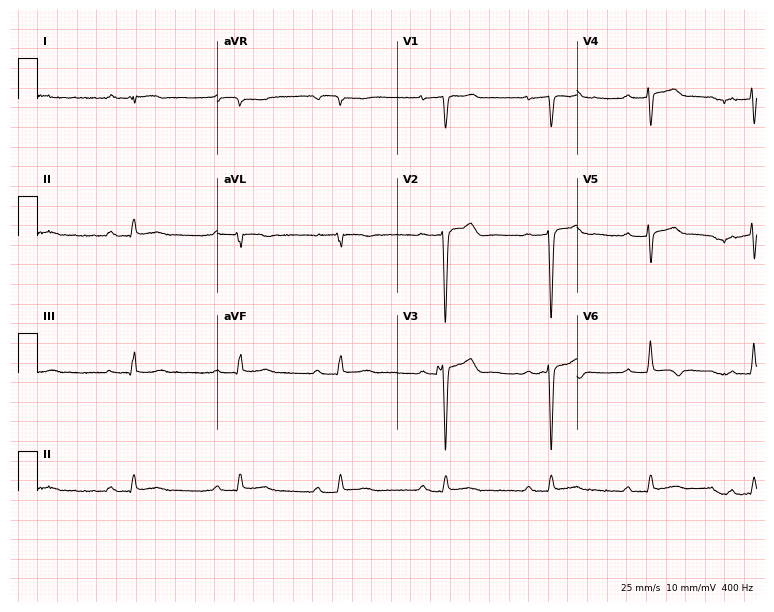
Electrocardiogram (7.3-second recording at 400 Hz), a male, 23 years old. Of the six screened findings (first-degree AV block, right bundle branch block (RBBB), left bundle branch block (LBBB), sinus bradycardia, atrial fibrillation (AF), sinus tachycardia), none is recorded.